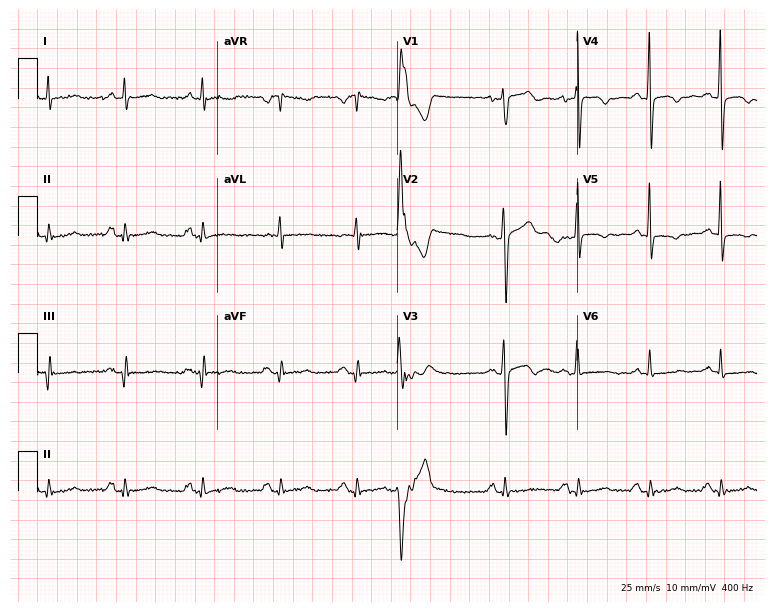
ECG — a 57-year-old male patient. Screened for six findings — first-degree AV block, right bundle branch block, left bundle branch block, sinus bradycardia, atrial fibrillation, sinus tachycardia — none is recorded. Findings outside these six are not listed.